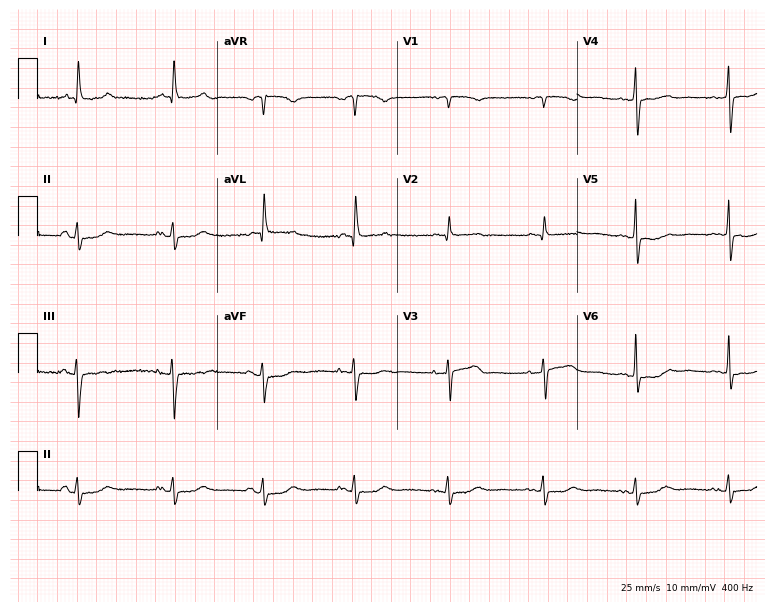
Electrocardiogram, a female, 69 years old. Of the six screened findings (first-degree AV block, right bundle branch block, left bundle branch block, sinus bradycardia, atrial fibrillation, sinus tachycardia), none is recorded.